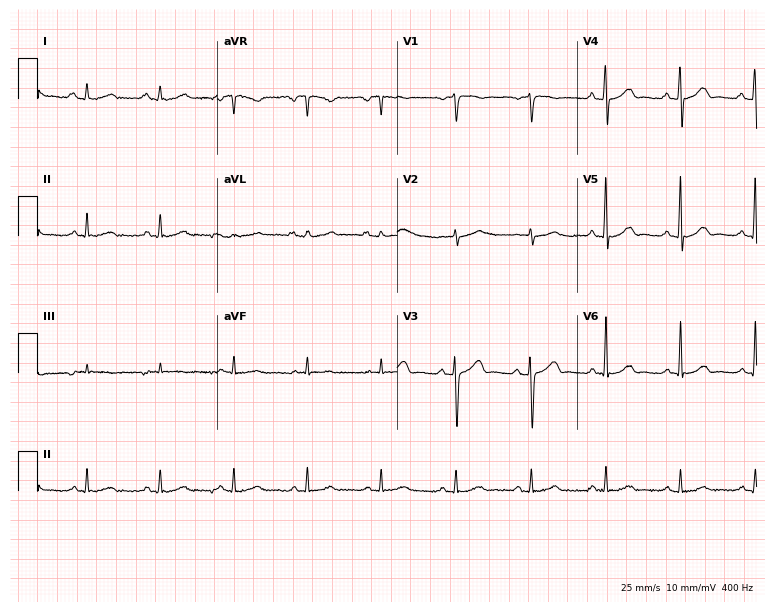
Electrocardiogram (7.3-second recording at 400 Hz), a 75-year-old male. Overall reading on record: normal ECG.